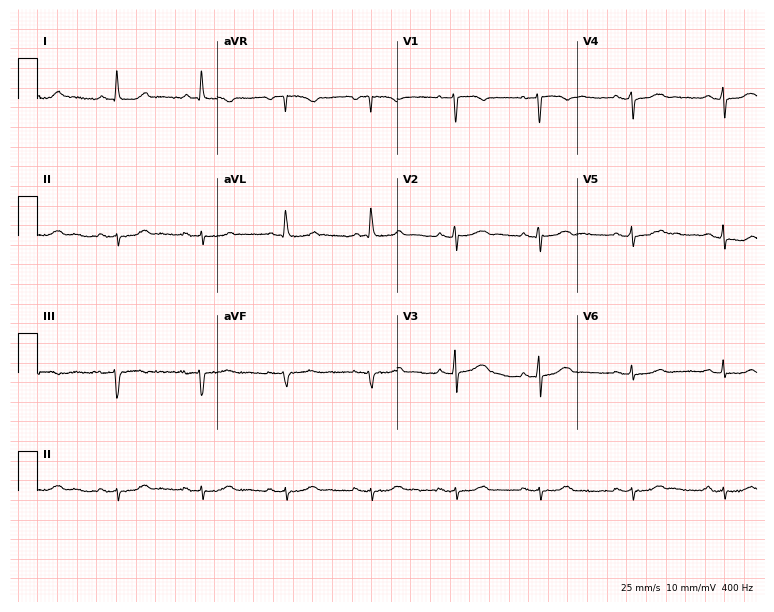
12-lead ECG from a female, 74 years old (7.3-second recording at 400 Hz). Recorded interpretation: within normal limits.